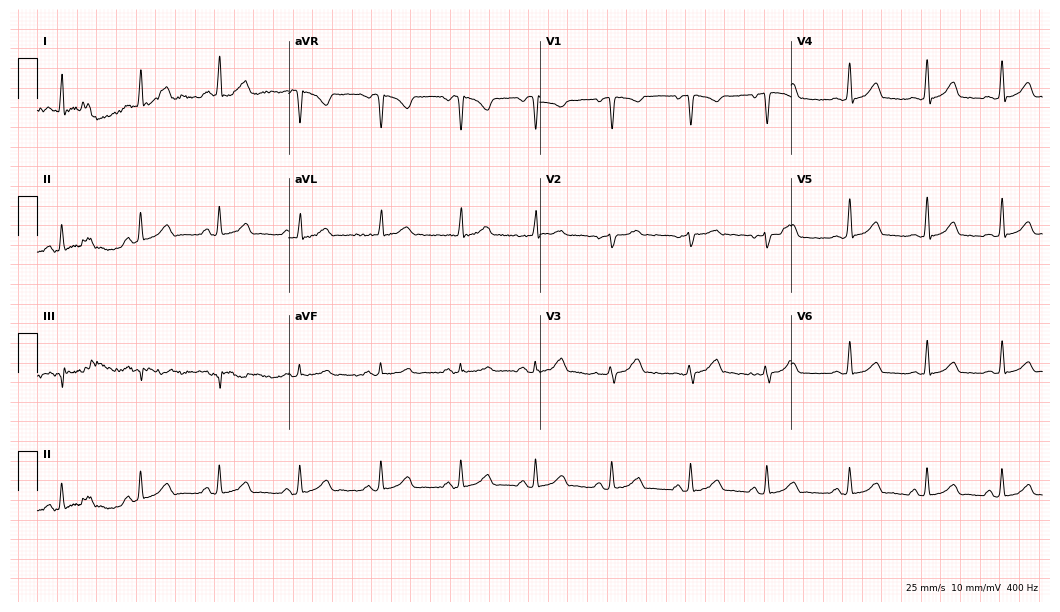
Resting 12-lead electrocardiogram (10.2-second recording at 400 Hz). Patient: a 39-year-old female. Read as a normal ECG.